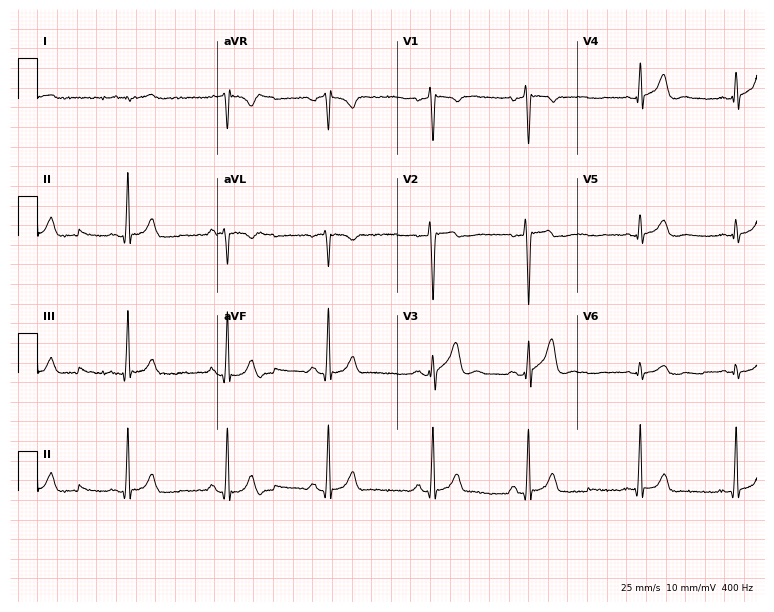
12-lead ECG from a male patient, 24 years old. No first-degree AV block, right bundle branch block, left bundle branch block, sinus bradycardia, atrial fibrillation or sinus tachycardia recorded for this tracing.